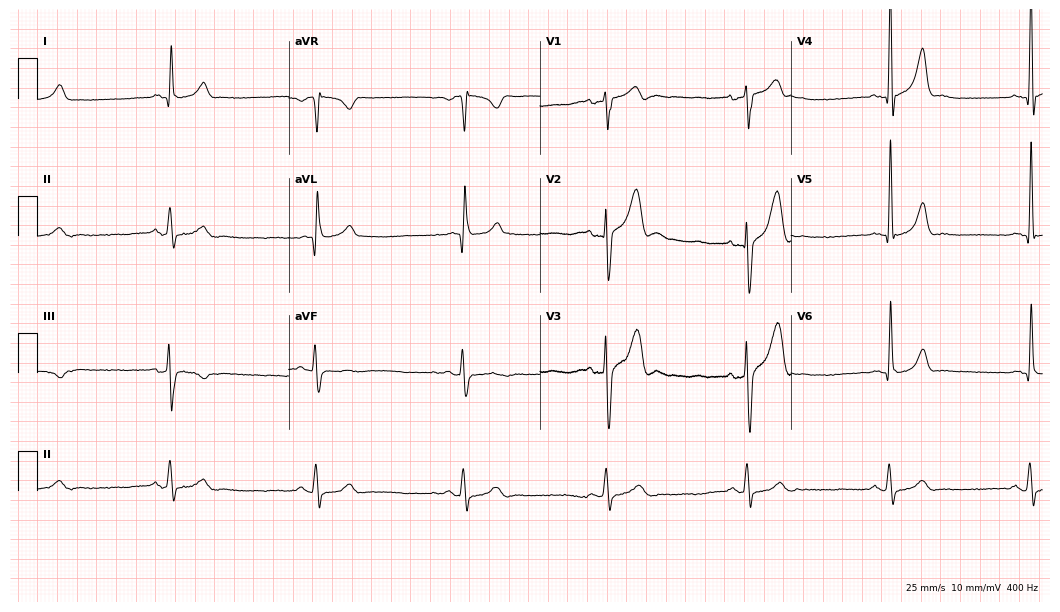
Electrocardiogram, a 52-year-old man. Interpretation includes sinus bradycardia (a sinus rate of 50 beats per minute or less).